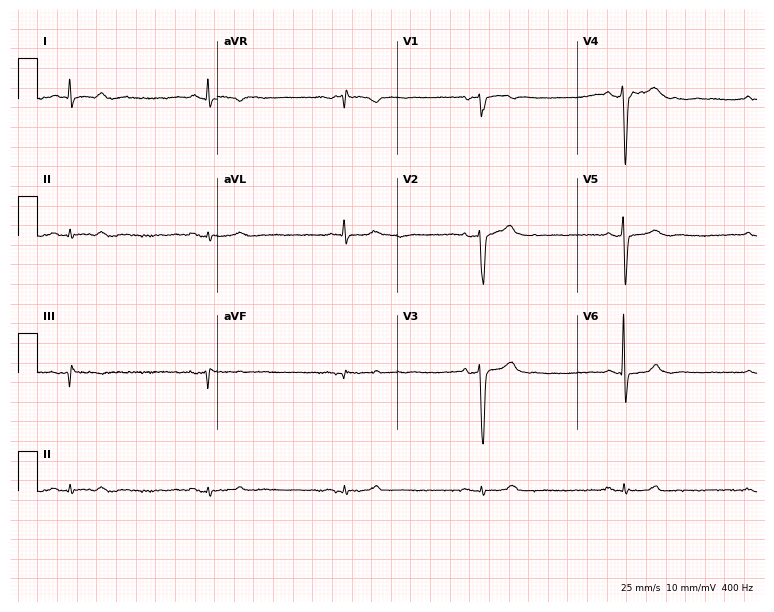
ECG — a 75-year-old male patient. Screened for six findings — first-degree AV block, right bundle branch block, left bundle branch block, sinus bradycardia, atrial fibrillation, sinus tachycardia — none is recorded.